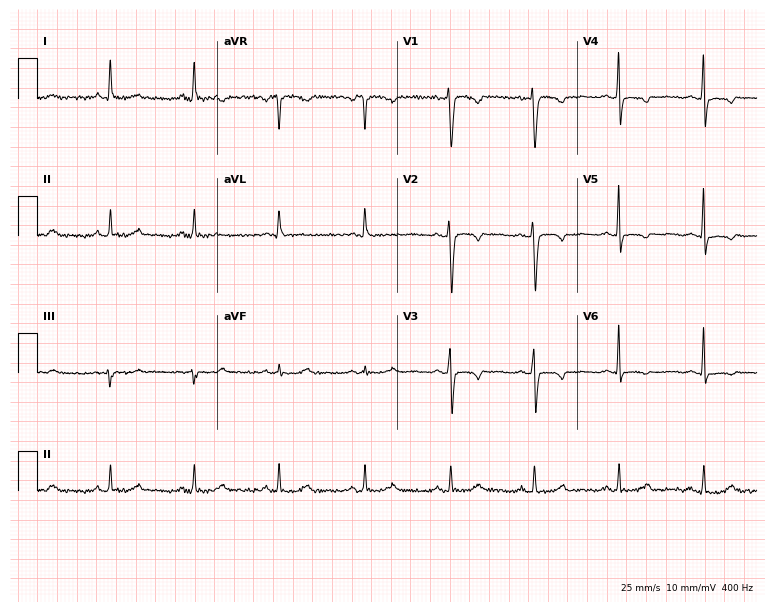
12-lead ECG from a female patient, 56 years old. Screened for six findings — first-degree AV block, right bundle branch block, left bundle branch block, sinus bradycardia, atrial fibrillation, sinus tachycardia — none is recorded. Only these six findings were labelled.